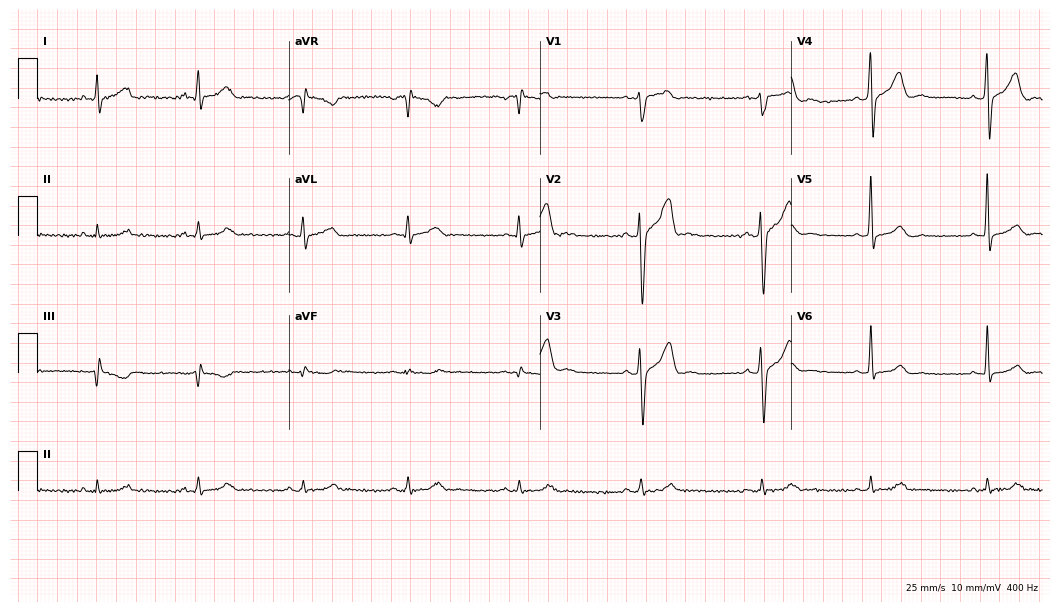
ECG (10.2-second recording at 400 Hz) — a male, 43 years old. Labelled as a normal ECG.